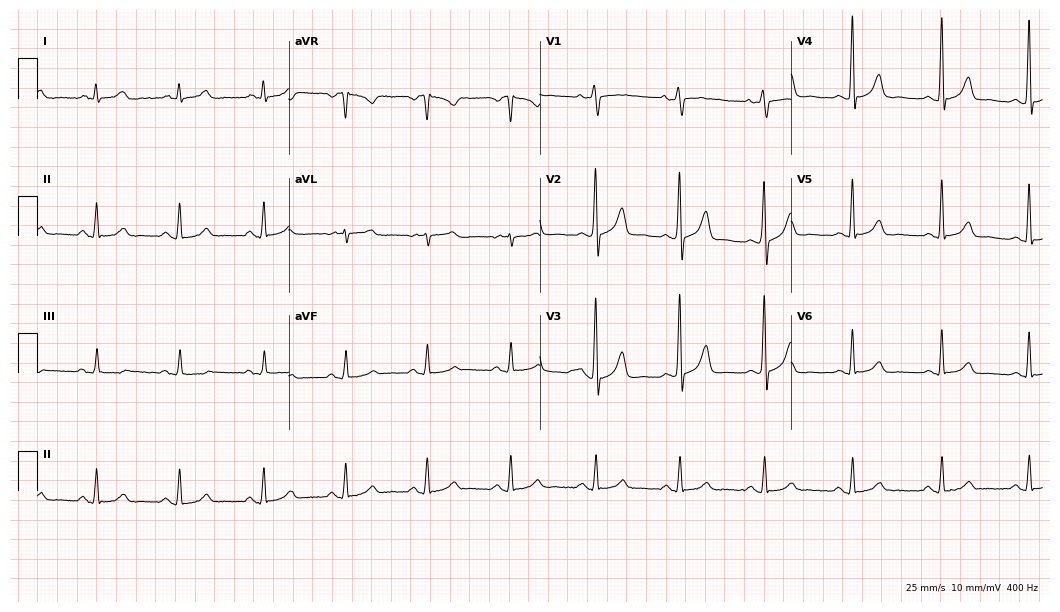
Standard 12-lead ECG recorded from a 63-year-old male patient (10.2-second recording at 400 Hz). Read as a normal ECG.